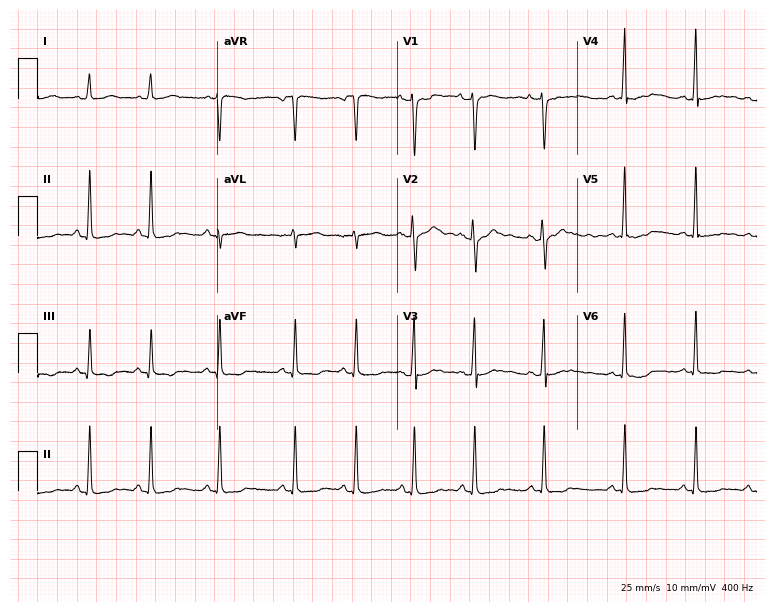
ECG (7.3-second recording at 400 Hz) — a woman, 27 years old. Screened for six findings — first-degree AV block, right bundle branch block (RBBB), left bundle branch block (LBBB), sinus bradycardia, atrial fibrillation (AF), sinus tachycardia — none is recorded. Only these six findings were labelled.